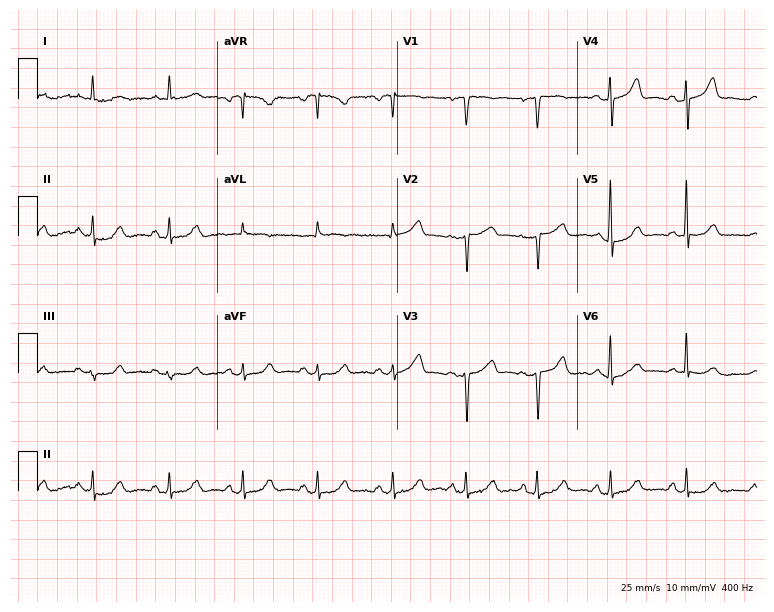
Standard 12-lead ECG recorded from a 56-year-old female patient (7.3-second recording at 400 Hz). None of these six findings is recorded: first-degree AV block, right bundle branch block, left bundle branch block, sinus bradycardia, atrial fibrillation, sinus tachycardia.